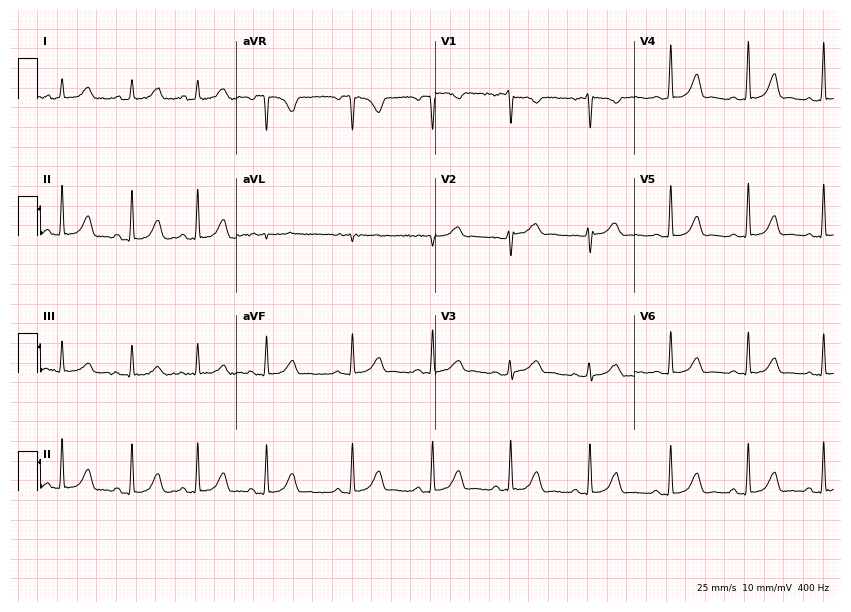
12-lead ECG from a female patient, 33 years old. Labelled as a normal ECG.